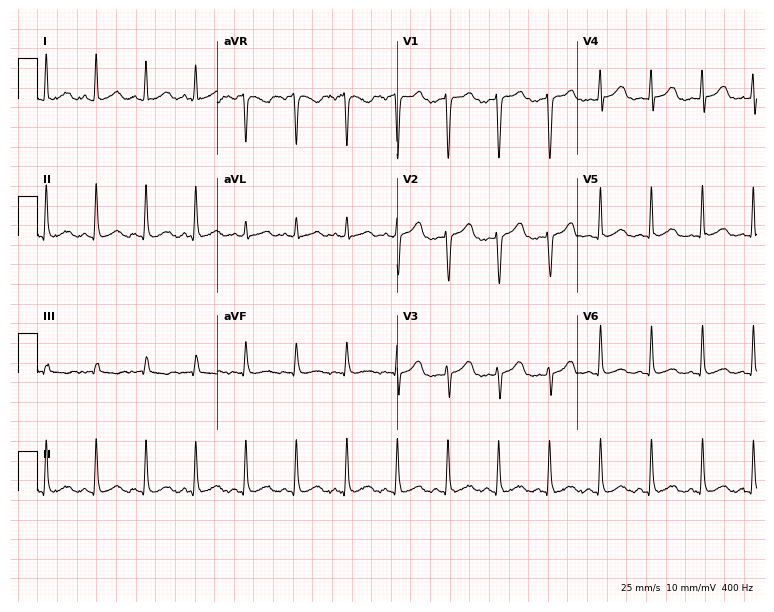
Resting 12-lead electrocardiogram (7.3-second recording at 400 Hz). Patient: a 33-year-old woman. The tracing shows sinus tachycardia (a sinus rate of 100 beats per minute or more).